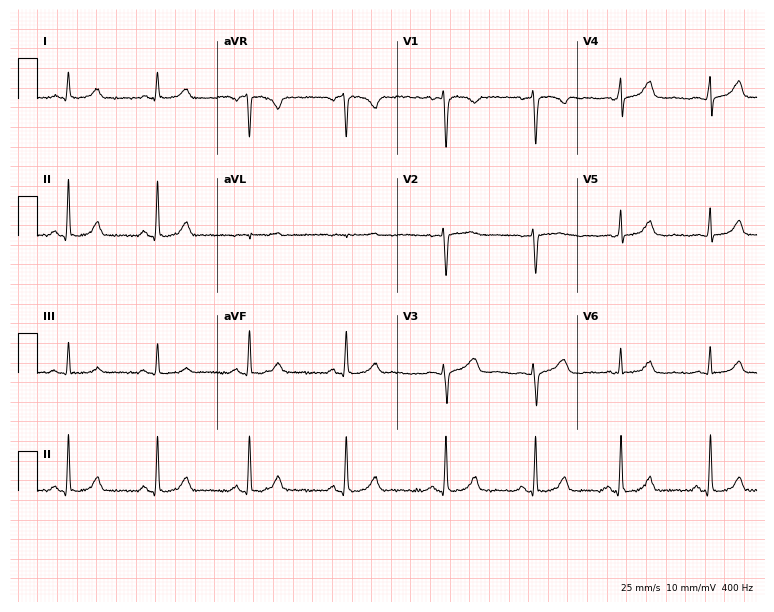
ECG — a 38-year-old woman. Screened for six findings — first-degree AV block, right bundle branch block (RBBB), left bundle branch block (LBBB), sinus bradycardia, atrial fibrillation (AF), sinus tachycardia — none is recorded. Other findings, if any, are not listed.